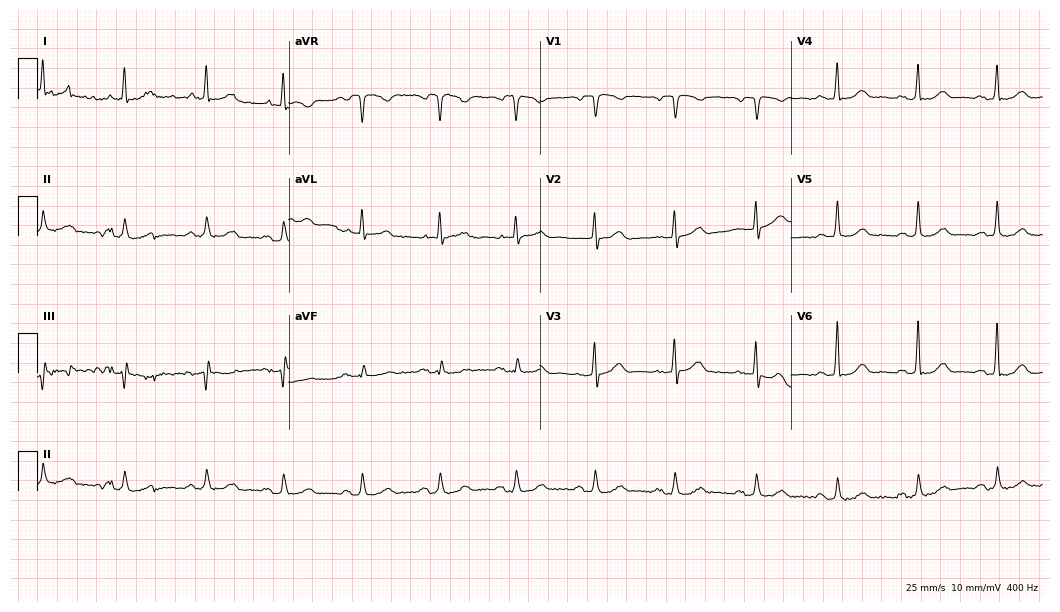
Electrocardiogram (10.2-second recording at 400 Hz), a male, 71 years old. Overall reading on record: normal ECG.